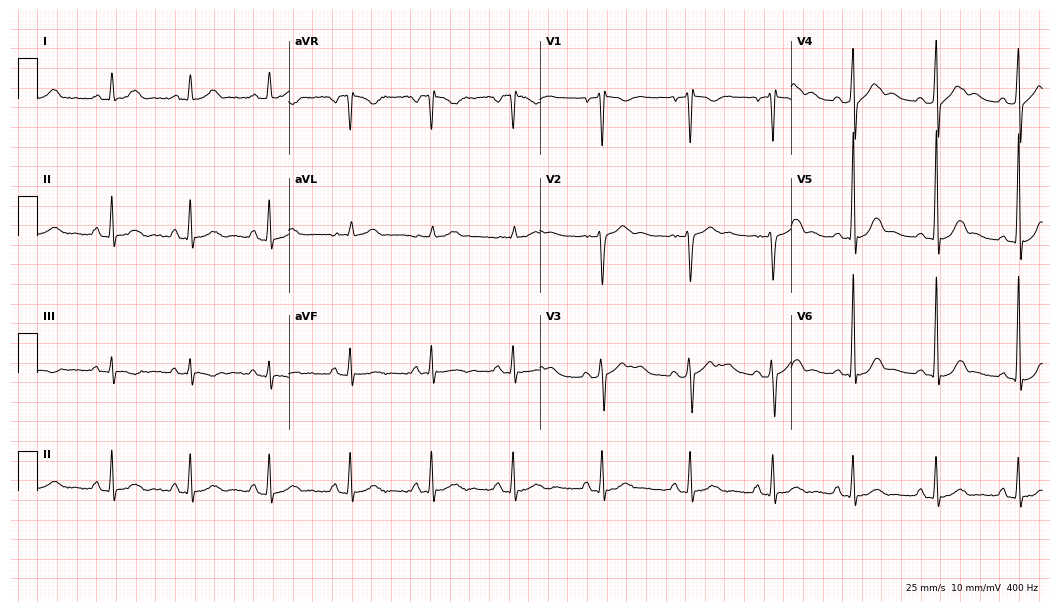
12-lead ECG from a 40-year-old male (10.2-second recording at 400 Hz). Recorded interpretation: within normal limits.